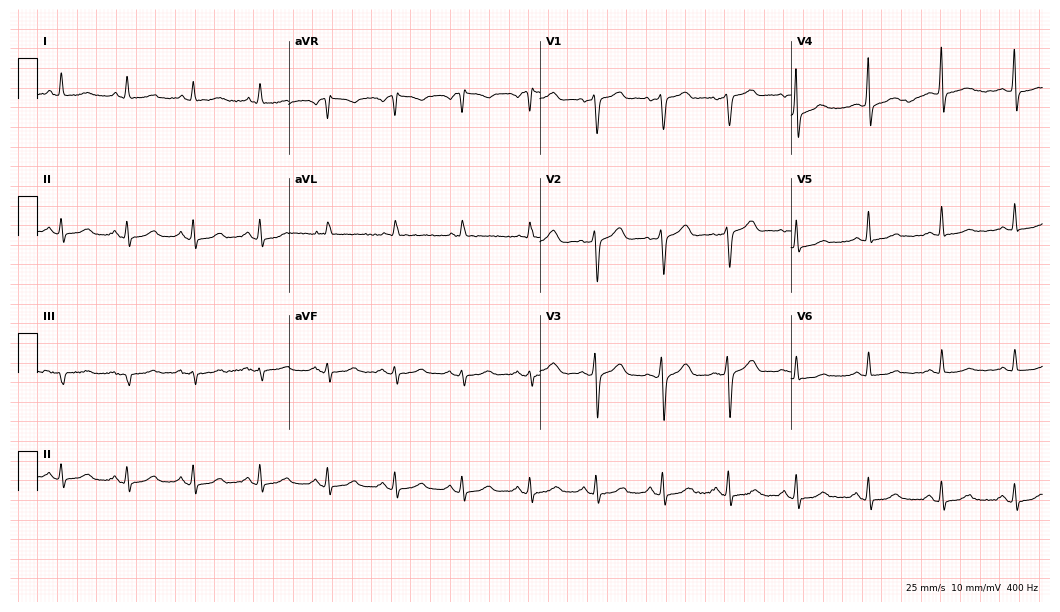
12-lead ECG (10.2-second recording at 400 Hz) from a 62-year-old female. Screened for six findings — first-degree AV block, right bundle branch block, left bundle branch block, sinus bradycardia, atrial fibrillation, sinus tachycardia — none is recorded. Findings outside these six are not listed.